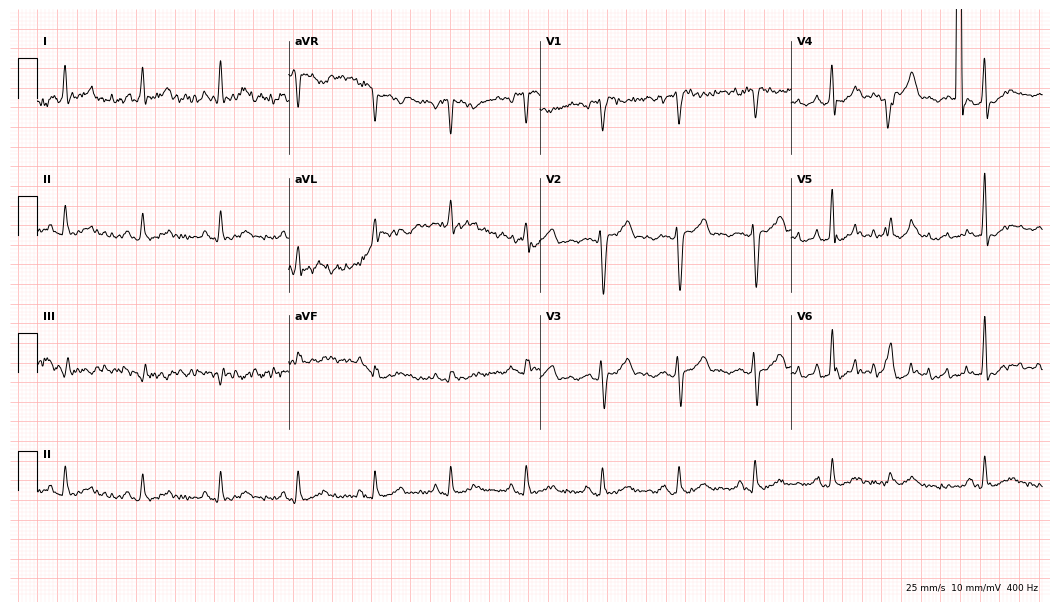
Resting 12-lead electrocardiogram. Patient: a 57-year-old man. None of these six findings is recorded: first-degree AV block, right bundle branch block (RBBB), left bundle branch block (LBBB), sinus bradycardia, atrial fibrillation (AF), sinus tachycardia. Other findings, if any, are not listed.